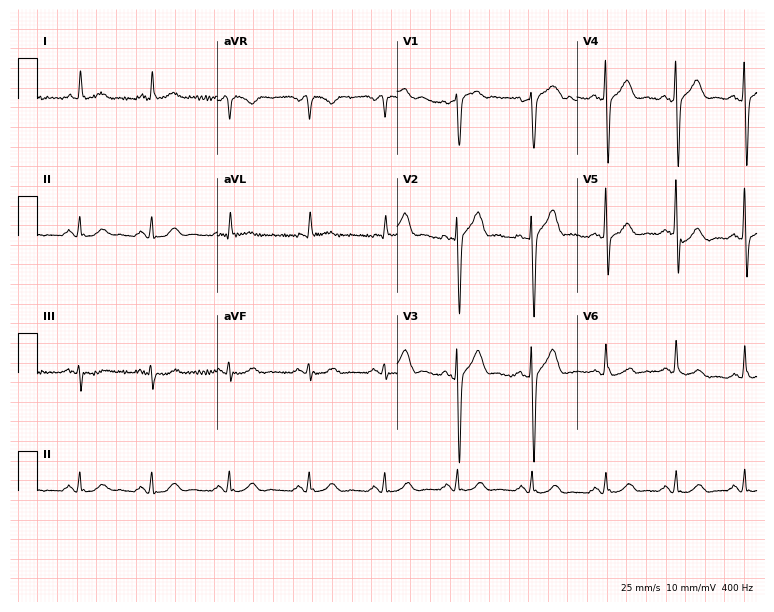
12-lead ECG from a man, 53 years old. No first-degree AV block, right bundle branch block, left bundle branch block, sinus bradycardia, atrial fibrillation or sinus tachycardia recorded for this tracing.